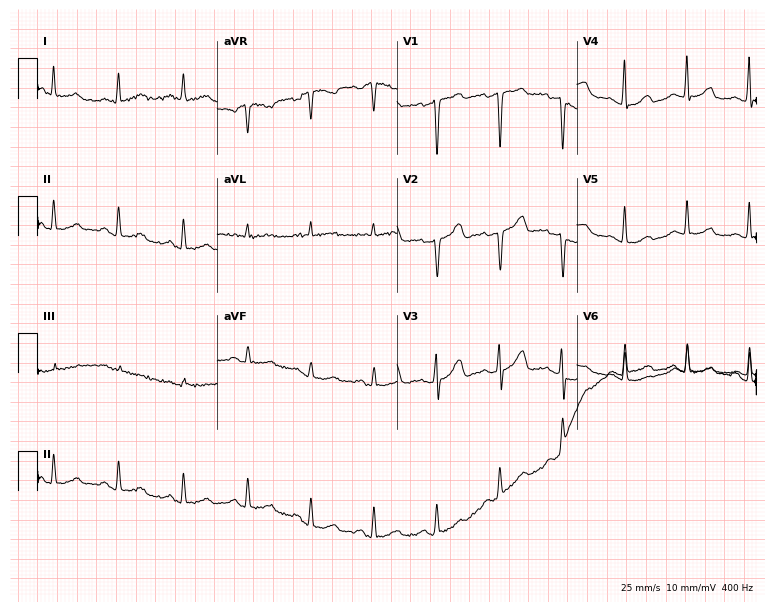
12-lead ECG (7.3-second recording at 400 Hz) from a 64-year-old female patient. Screened for six findings — first-degree AV block, right bundle branch block, left bundle branch block, sinus bradycardia, atrial fibrillation, sinus tachycardia — none is recorded.